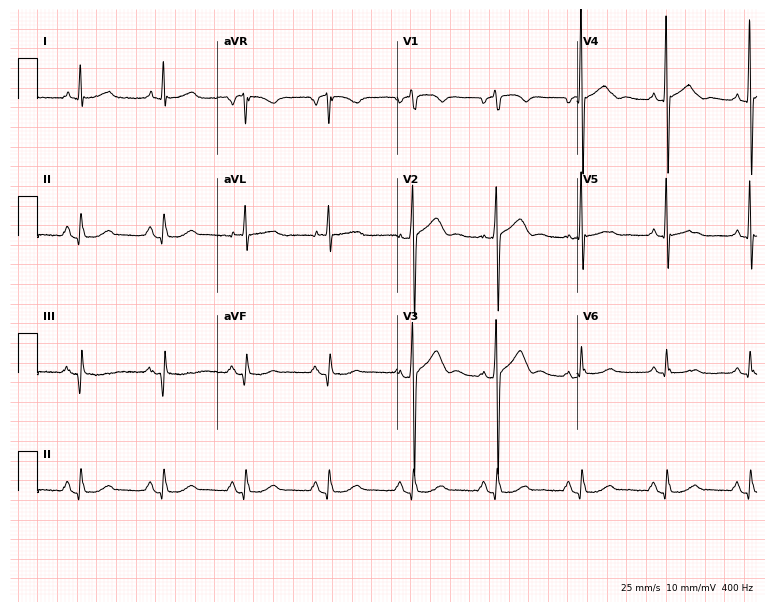
12-lead ECG from a 74-year-old man. Recorded interpretation: within normal limits.